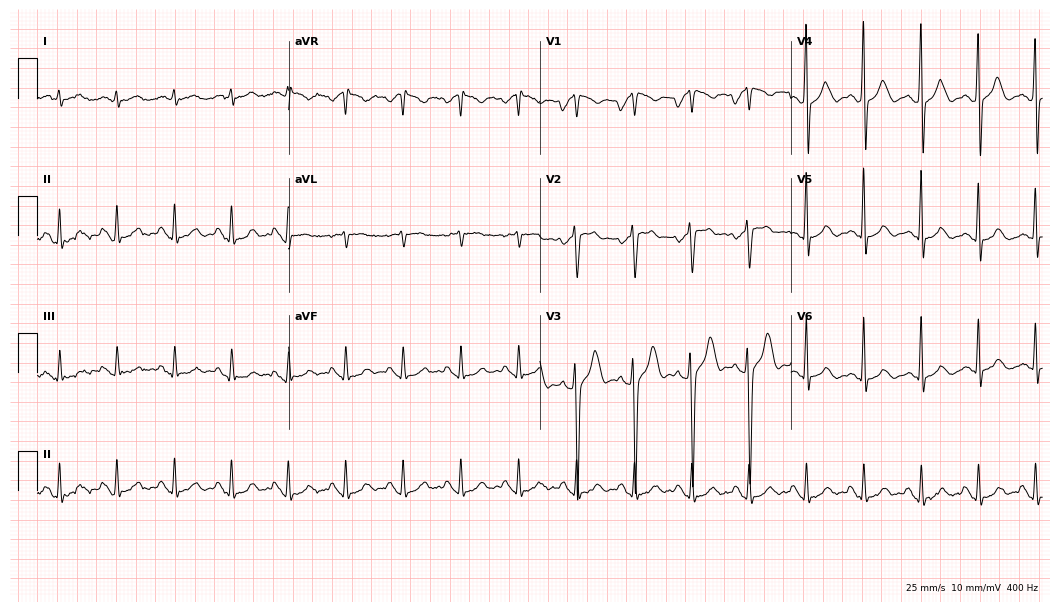
ECG — a male, 69 years old. Findings include sinus tachycardia (a sinus rate of 100 beats per minute or more).